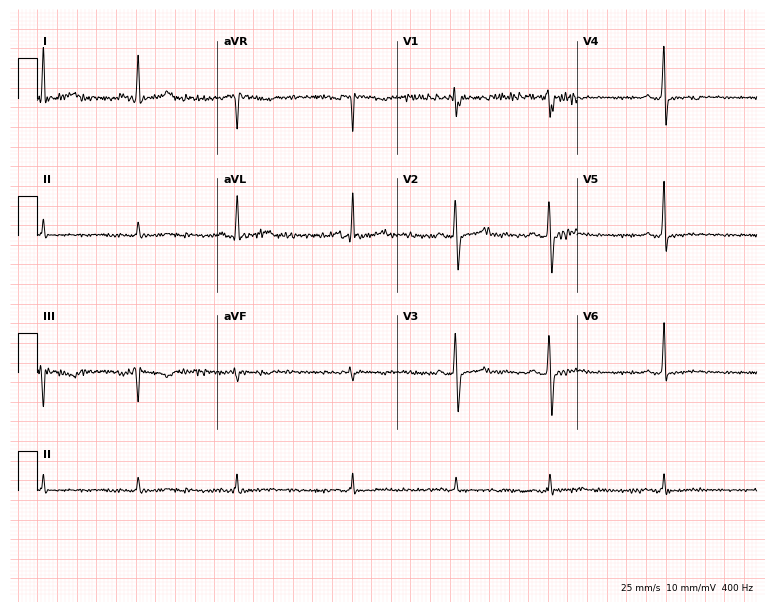
Standard 12-lead ECG recorded from a 40-year-old female patient. None of these six findings is recorded: first-degree AV block, right bundle branch block (RBBB), left bundle branch block (LBBB), sinus bradycardia, atrial fibrillation (AF), sinus tachycardia. Only these six findings were labelled.